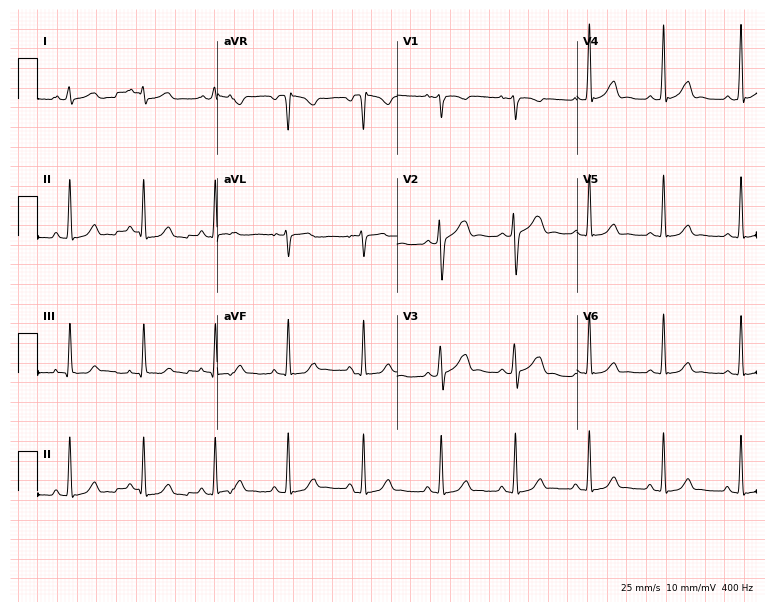
12-lead ECG from a female, 23 years old. Screened for six findings — first-degree AV block, right bundle branch block, left bundle branch block, sinus bradycardia, atrial fibrillation, sinus tachycardia — none is recorded.